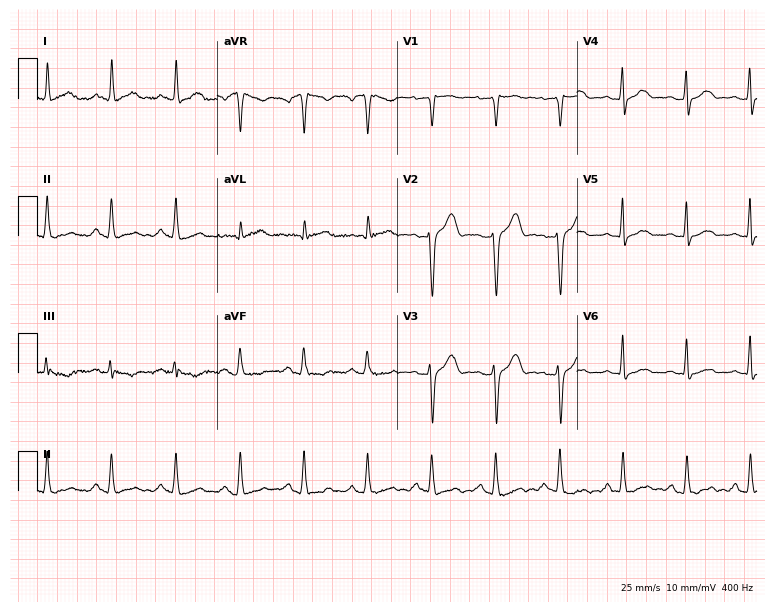
12-lead ECG from a 40-year-old male. No first-degree AV block, right bundle branch block (RBBB), left bundle branch block (LBBB), sinus bradycardia, atrial fibrillation (AF) or sinus tachycardia recorded for this tracing. Only these six findings were labelled.